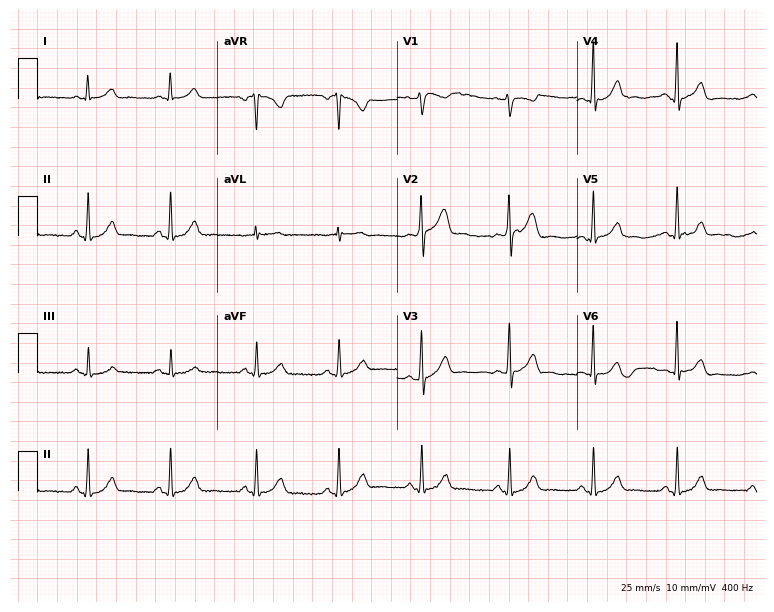
Resting 12-lead electrocardiogram. Patient: a 38-year-old male. Read as a normal ECG.